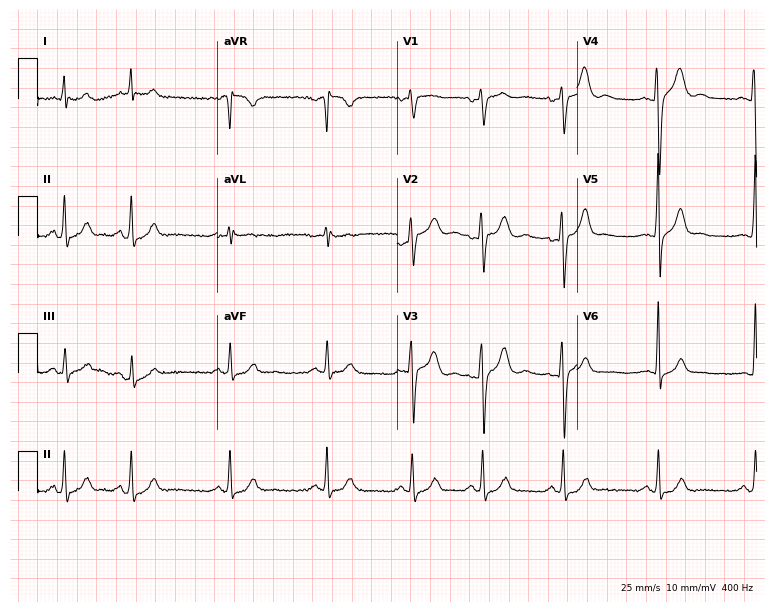
Standard 12-lead ECG recorded from a male, 25 years old (7.3-second recording at 400 Hz). Read as a normal ECG.